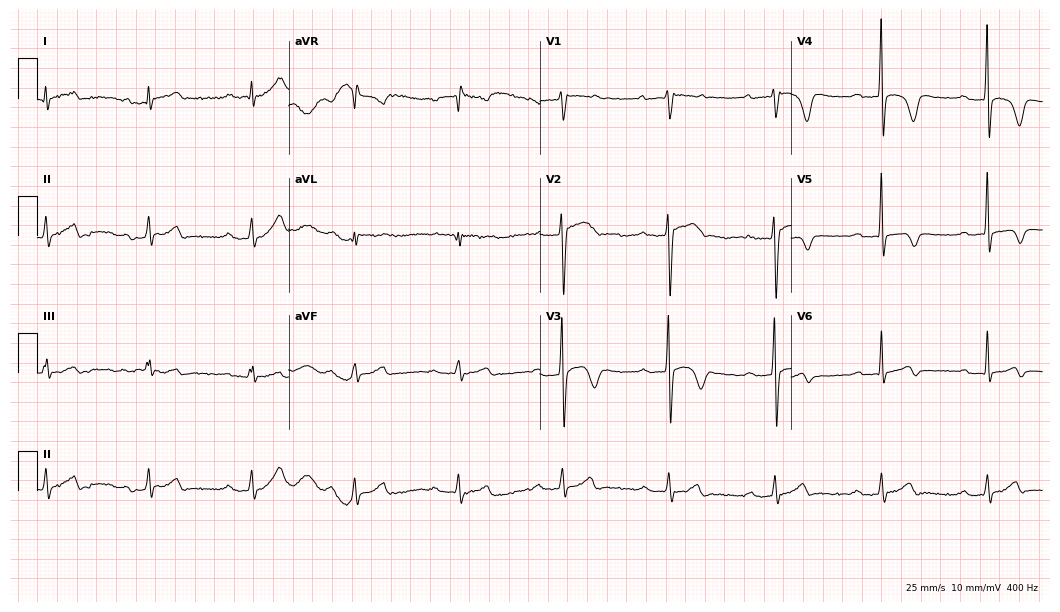
12-lead ECG from a 53-year-old male. Findings include first-degree AV block.